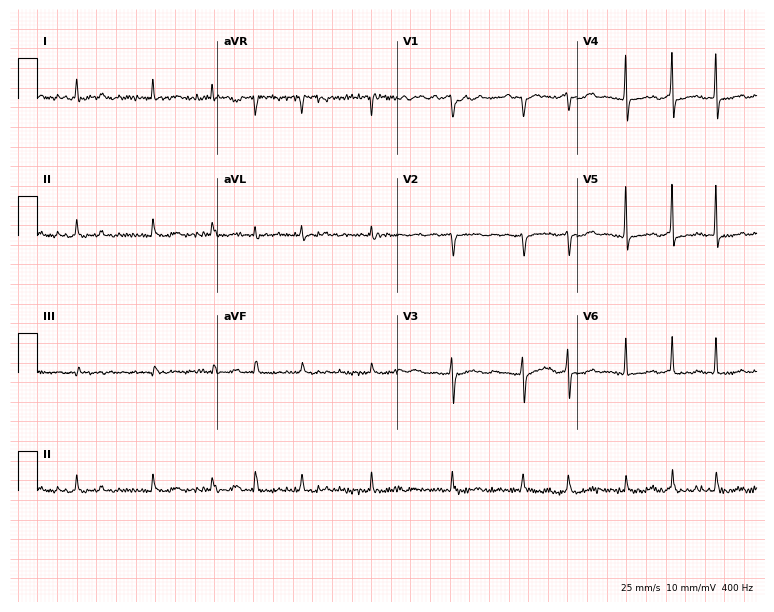
12-lead ECG from an 84-year-old woman (7.3-second recording at 400 Hz). Shows atrial fibrillation (AF).